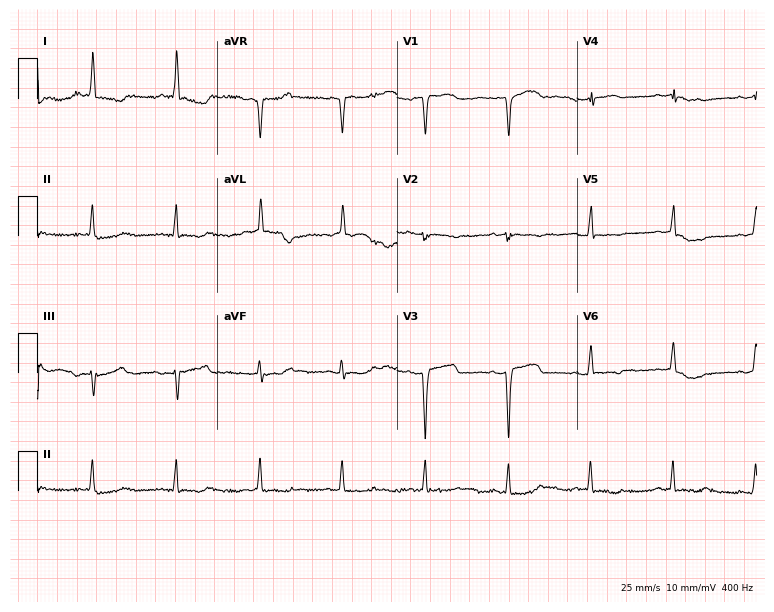
Electrocardiogram (7.3-second recording at 400 Hz), a 55-year-old female patient. Of the six screened findings (first-degree AV block, right bundle branch block (RBBB), left bundle branch block (LBBB), sinus bradycardia, atrial fibrillation (AF), sinus tachycardia), none is recorded. Findings outside these six are not listed.